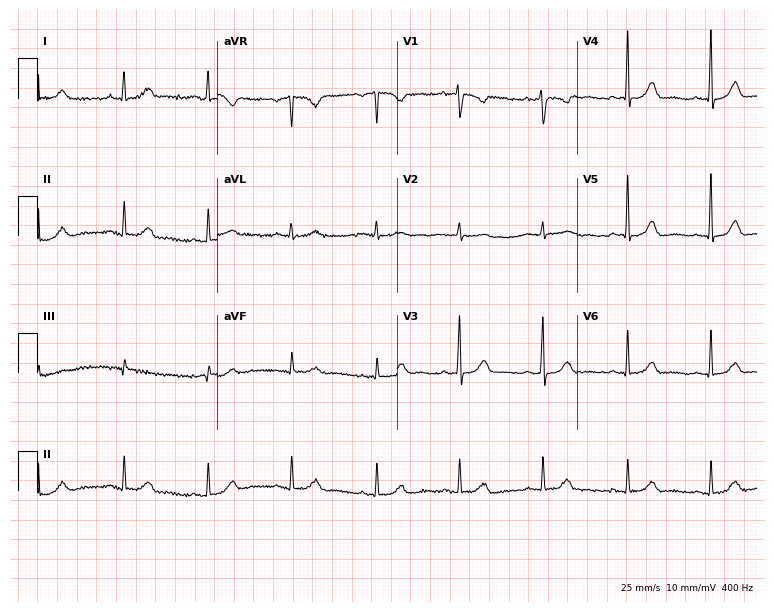
12-lead ECG (7.3-second recording at 400 Hz) from a 48-year-old woman. Labelled as a normal ECG.